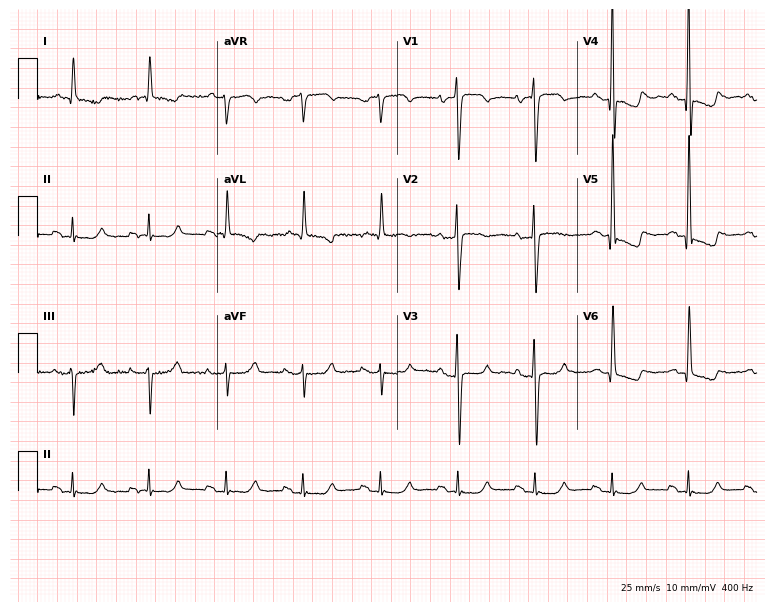
Electrocardiogram (7.3-second recording at 400 Hz), an 85-year-old male patient. Of the six screened findings (first-degree AV block, right bundle branch block, left bundle branch block, sinus bradycardia, atrial fibrillation, sinus tachycardia), none is recorded. Other findings, if any, are not listed.